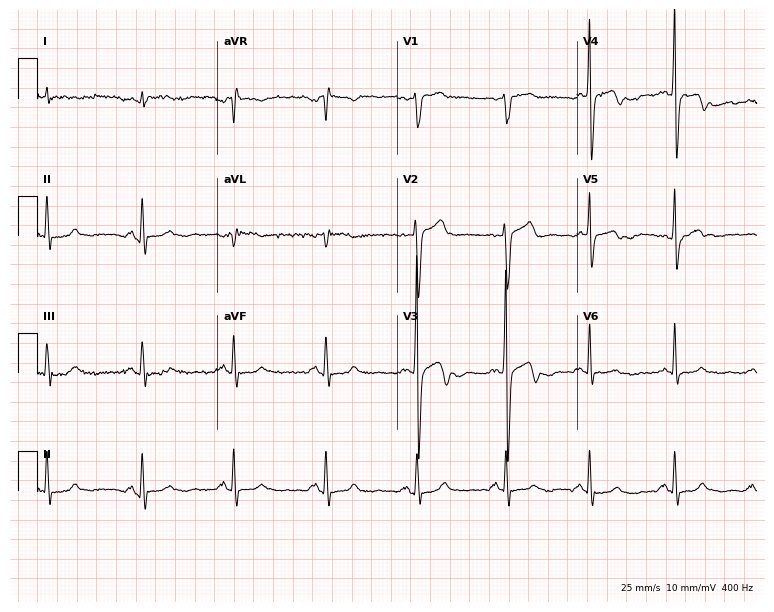
Electrocardiogram, a 51-year-old male. Of the six screened findings (first-degree AV block, right bundle branch block, left bundle branch block, sinus bradycardia, atrial fibrillation, sinus tachycardia), none is recorded. Only these six findings were labelled.